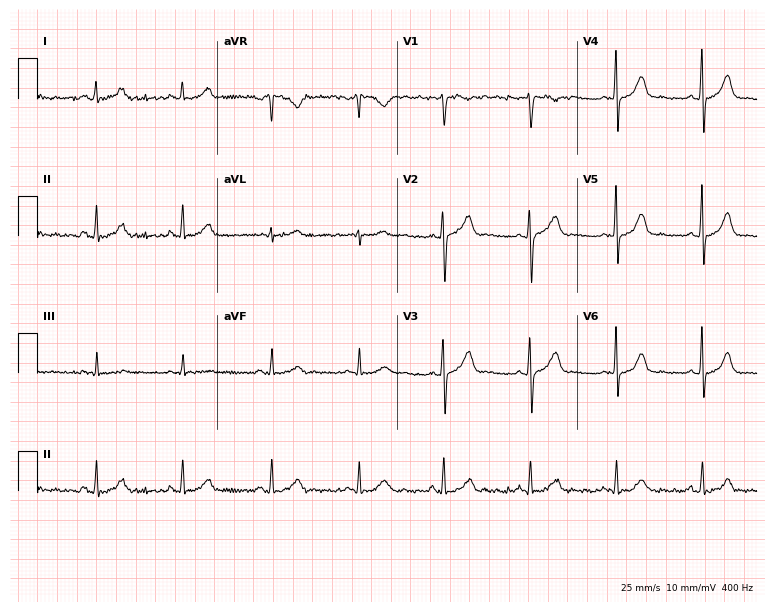
Electrocardiogram, a 34-year-old woman. Of the six screened findings (first-degree AV block, right bundle branch block, left bundle branch block, sinus bradycardia, atrial fibrillation, sinus tachycardia), none is recorded.